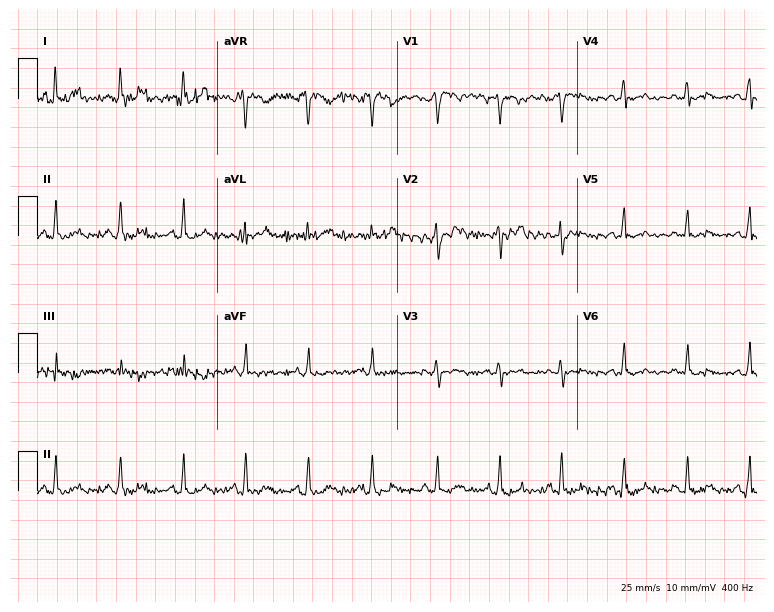
Standard 12-lead ECG recorded from a 36-year-old female (7.3-second recording at 400 Hz). None of these six findings is recorded: first-degree AV block, right bundle branch block, left bundle branch block, sinus bradycardia, atrial fibrillation, sinus tachycardia. Findings outside these six are not listed.